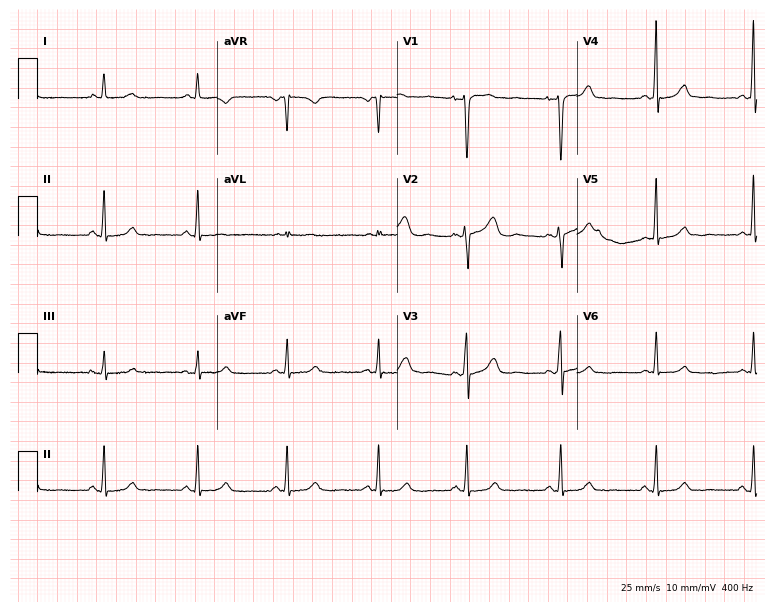
Resting 12-lead electrocardiogram. Patient: a female, 51 years old. Read as a normal ECG.